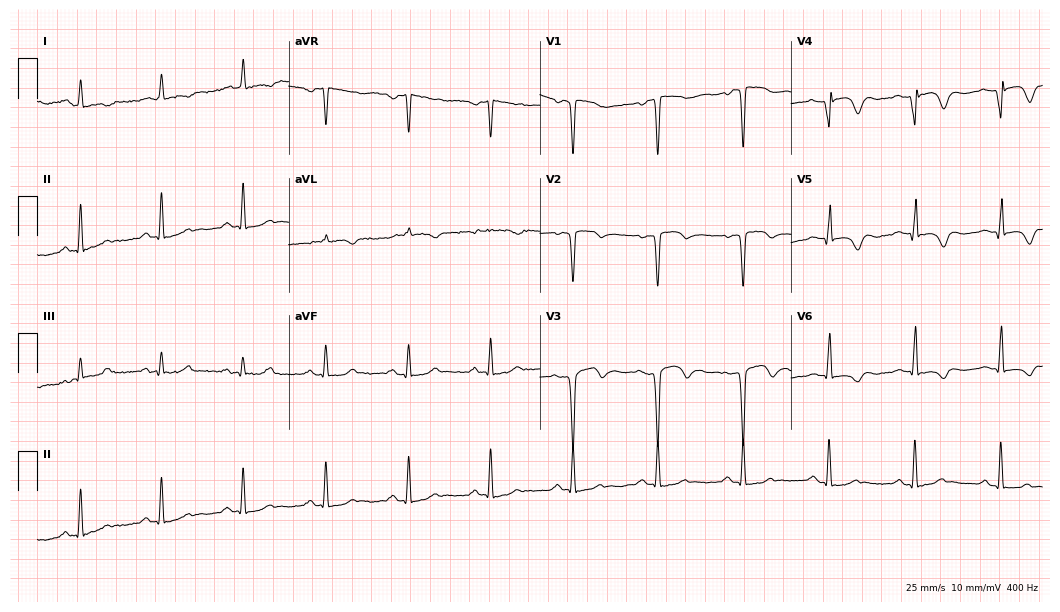
12-lead ECG from a 76-year-old woman. Screened for six findings — first-degree AV block, right bundle branch block, left bundle branch block, sinus bradycardia, atrial fibrillation, sinus tachycardia — none is recorded. Other findings, if any, are not listed.